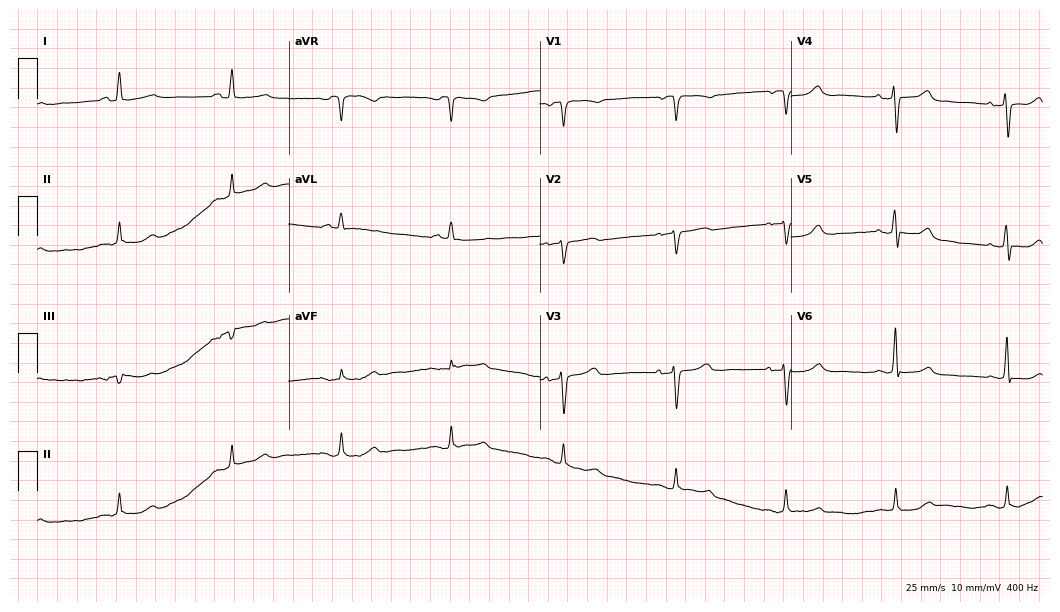
ECG (10.2-second recording at 400 Hz) — a woman, 77 years old. Screened for six findings — first-degree AV block, right bundle branch block, left bundle branch block, sinus bradycardia, atrial fibrillation, sinus tachycardia — none is recorded. Other findings, if any, are not listed.